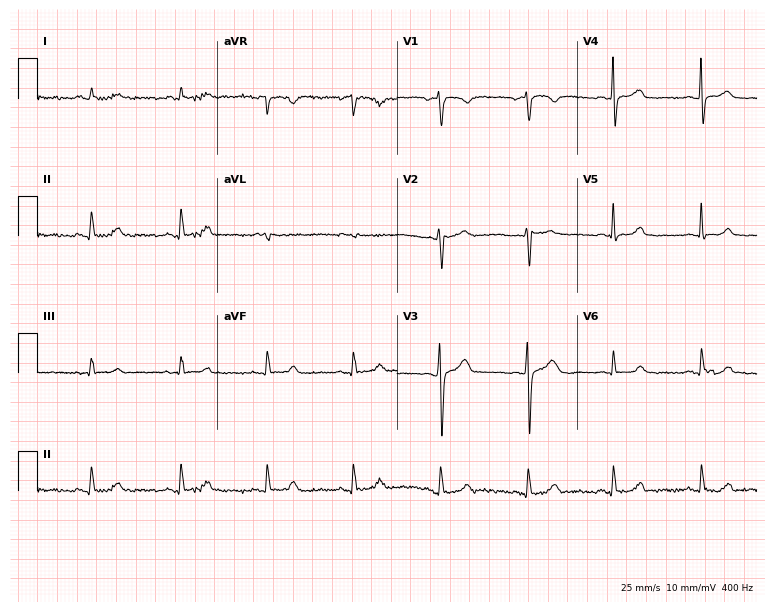
12-lead ECG (7.3-second recording at 400 Hz) from a 52-year-old female. Labelled as a normal ECG.